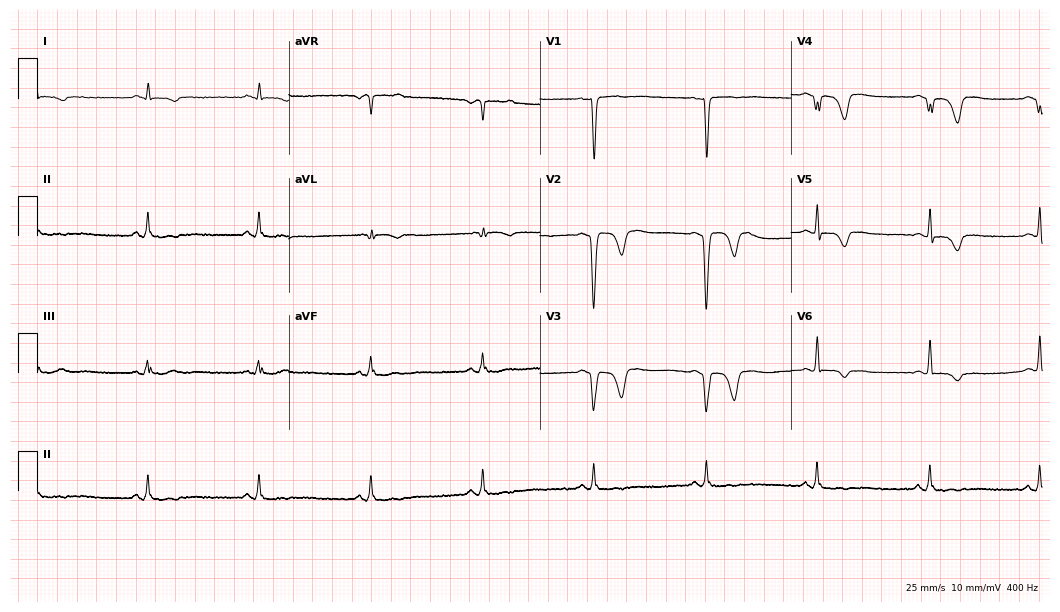
Resting 12-lead electrocardiogram. Patient: a male, 61 years old. None of these six findings is recorded: first-degree AV block, right bundle branch block, left bundle branch block, sinus bradycardia, atrial fibrillation, sinus tachycardia. Other findings, if any, are not listed.